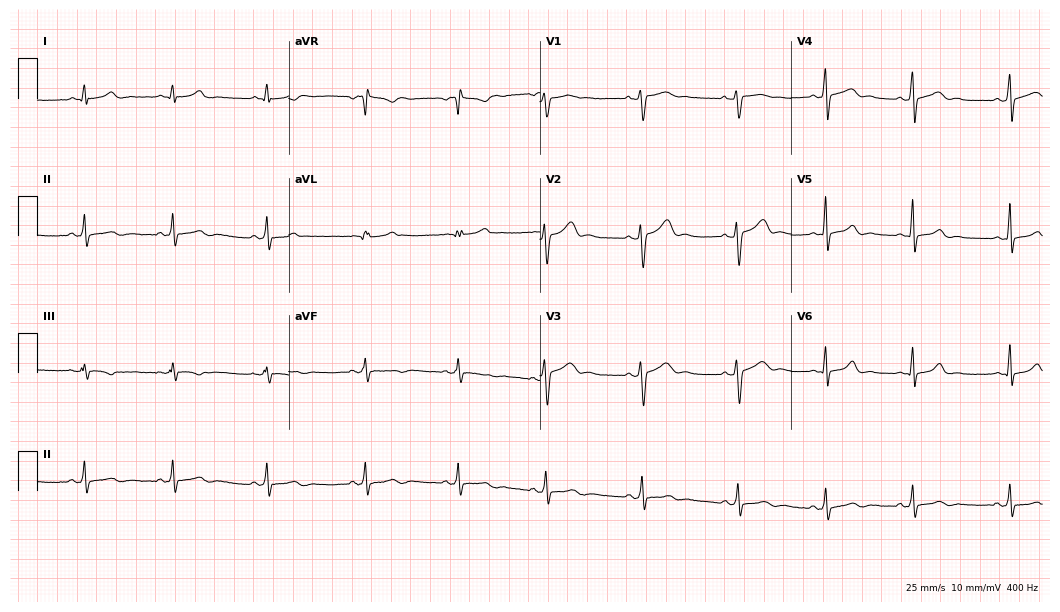
ECG — a 28-year-old female patient. Screened for six findings — first-degree AV block, right bundle branch block, left bundle branch block, sinus bradycardia, atrial fibrillation, sinus tachycardia — none is recorded. Findings outside these six are not listed.